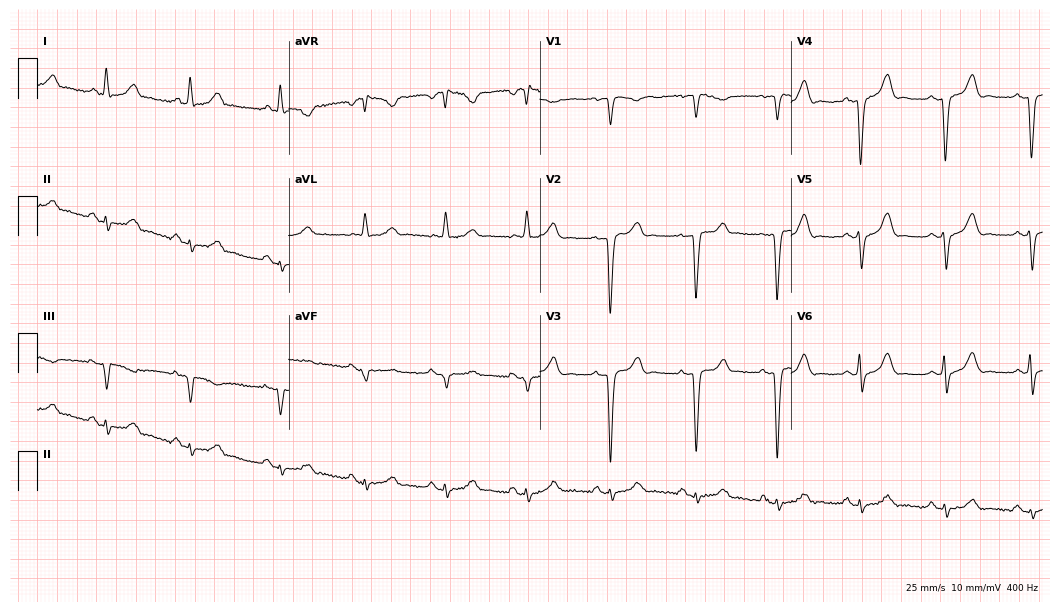
Standard 12-lead ECG recorded from a woman, 42 years old. None of these six findings is recorded: first-degree AV block, right bundle branch block (RBBB), left bundle branch block (LBBB), sinus bradycardia, atrial fibrillation (AF), sinus tachycardia.